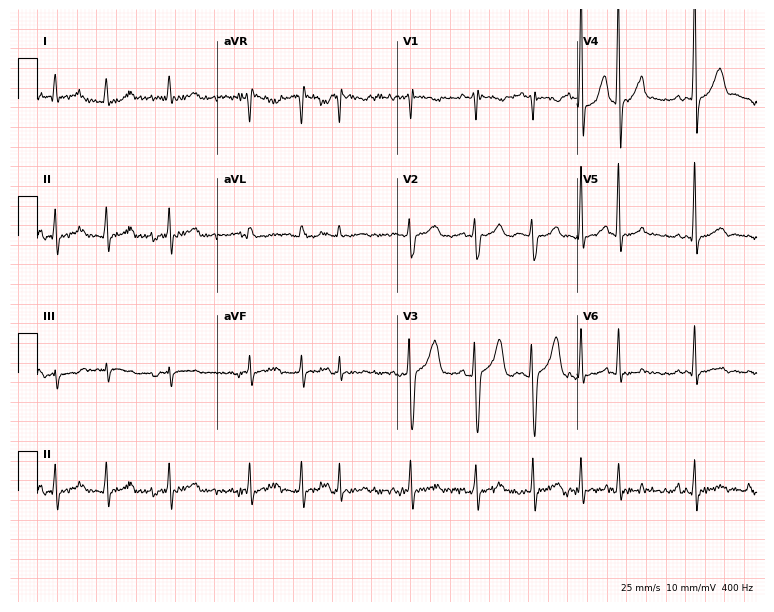
Resting 12-lead electrocardiogram. Patient: a 65-year-old male. None of these six findings is recorded: first-degree AV block, right bundle branch block, left bundle branch block, sinus bradycardia, atrial fibrillation, sinus tachycardia.